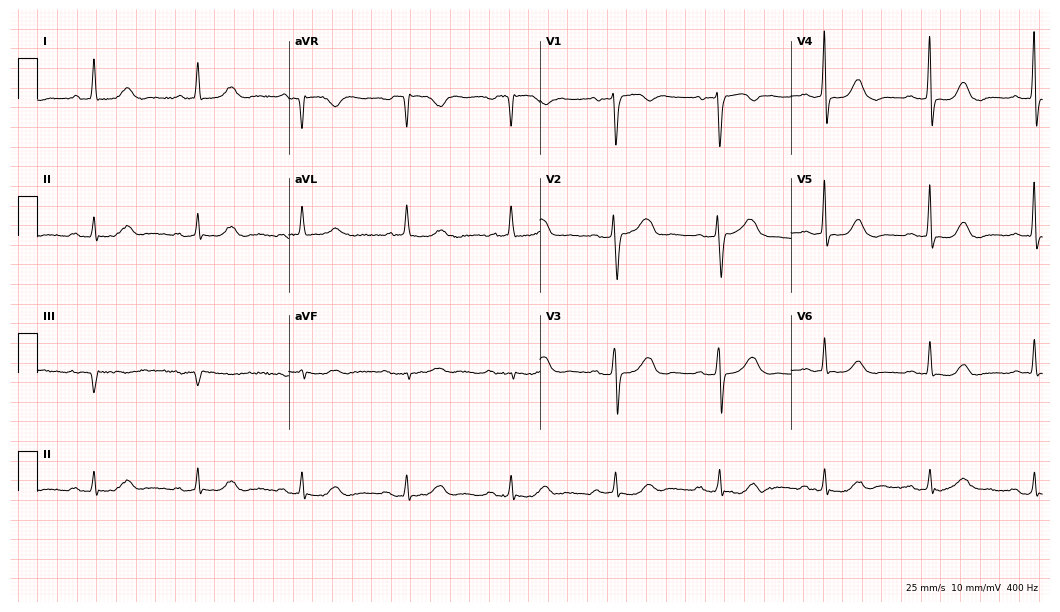
Standard 12-lead ECG recorded from a woman, 81 years old. The tracing shows first-degree AV block.